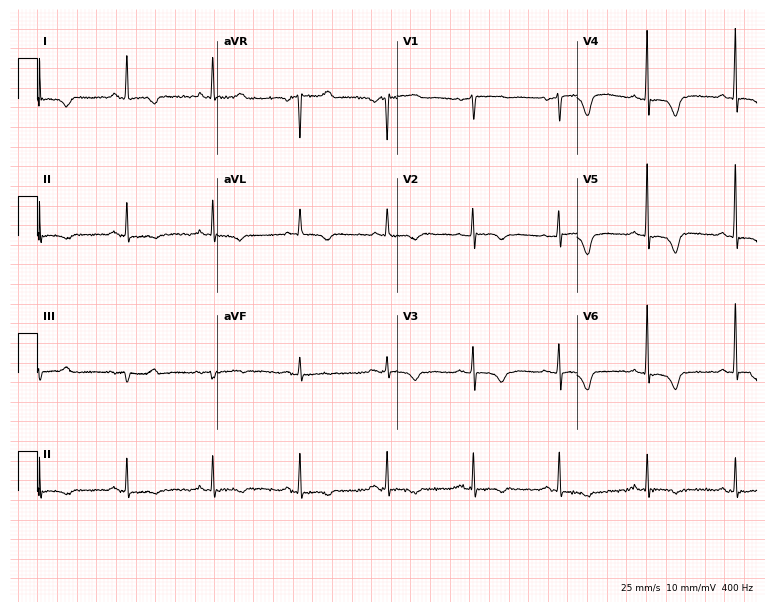
Resting 12-lead electrocardiogram (7.3-second recording at 400 Hz). Patient: a 64-year-old female. None of these six findings is recorded: first-degree AV block, right bundle branch block (RBBB), left bundle branch block (LBBB), sinus bradycardia, atrial fibrillation (AF), sinus tachycardia. Other findings, if any, are not listed.